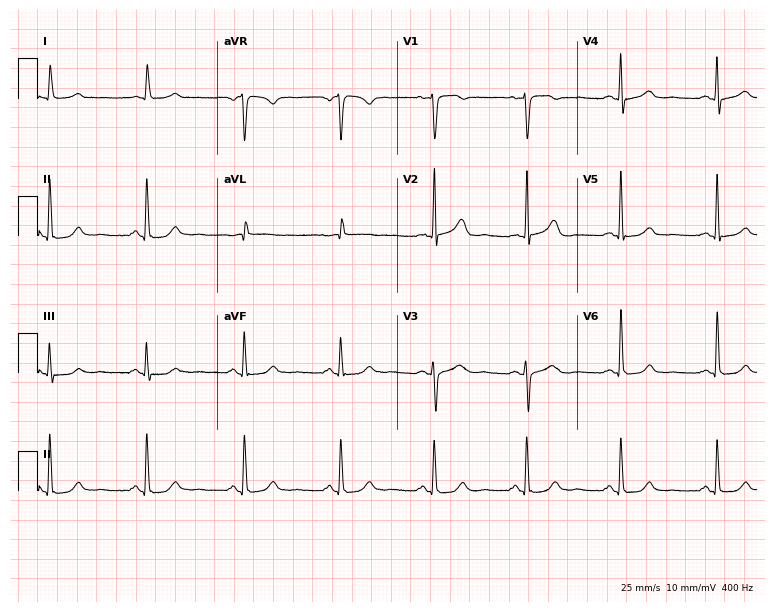
12-lead ECG from a 67-year-old female. No first-degree AV block, right bundle branch block, left bundle branch block, sinus bradycardia, atrial fibrillation or sinus tachycardia recorded for this tracing. Other findings, if any, are not listed.